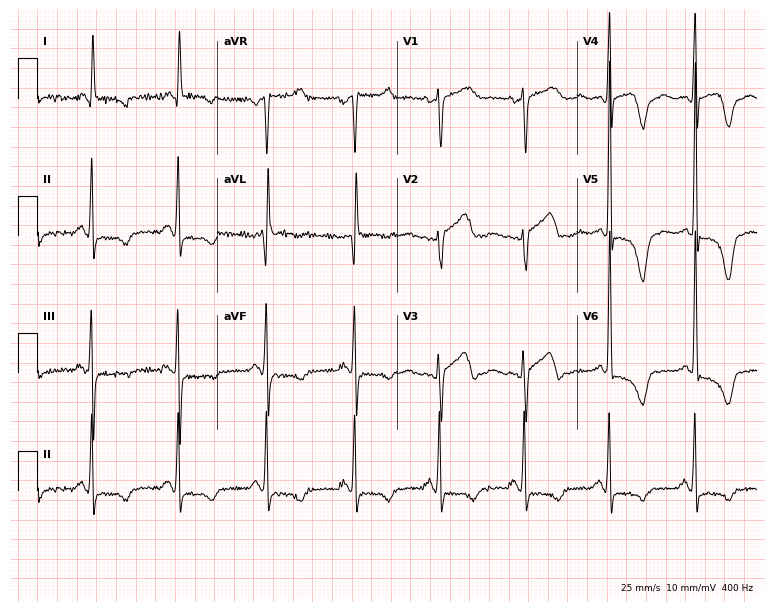
Resting 12-lead electrocardiogram (7.3-second recording at 400 Hz). Patient: an 80-year-old female. None of these six findings is recorded: first-degree AV block, right bundle branch block, left bundle branch block, sinus bradycardia, atrial fibrillation, sinus tachycardia. Other findings, if any, are not listed.